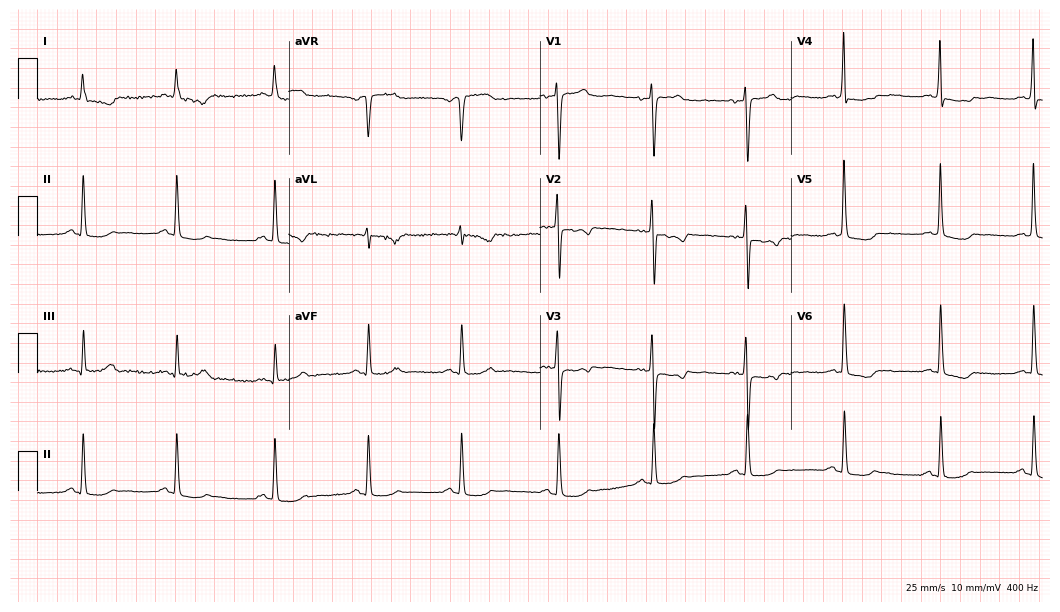
ECG (10.2-second recording at 400 Hz) — a 63-year-old female. Screened for six findings — first-degree AV block, right bundle branch block (RBBB), left bundle branch block (LBBB), sinus bradycardia, atrial fibrillation (AF), sinus tachycardia — none is recorded. Only these six findings were labelled.